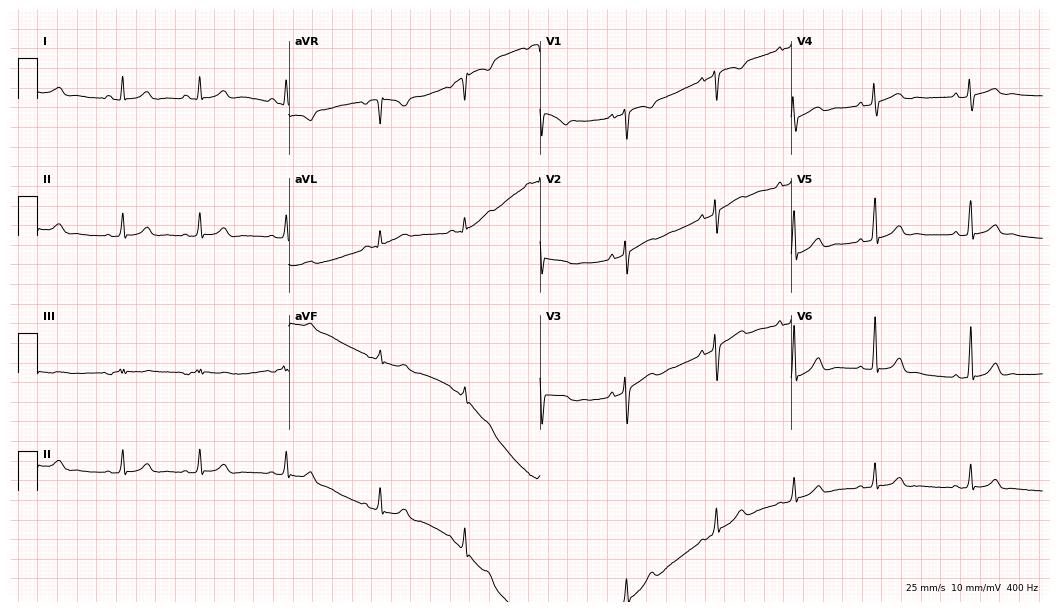
Standard 12-lead ECG recorded from a woman, 20 years old. Read as a normal ECG.